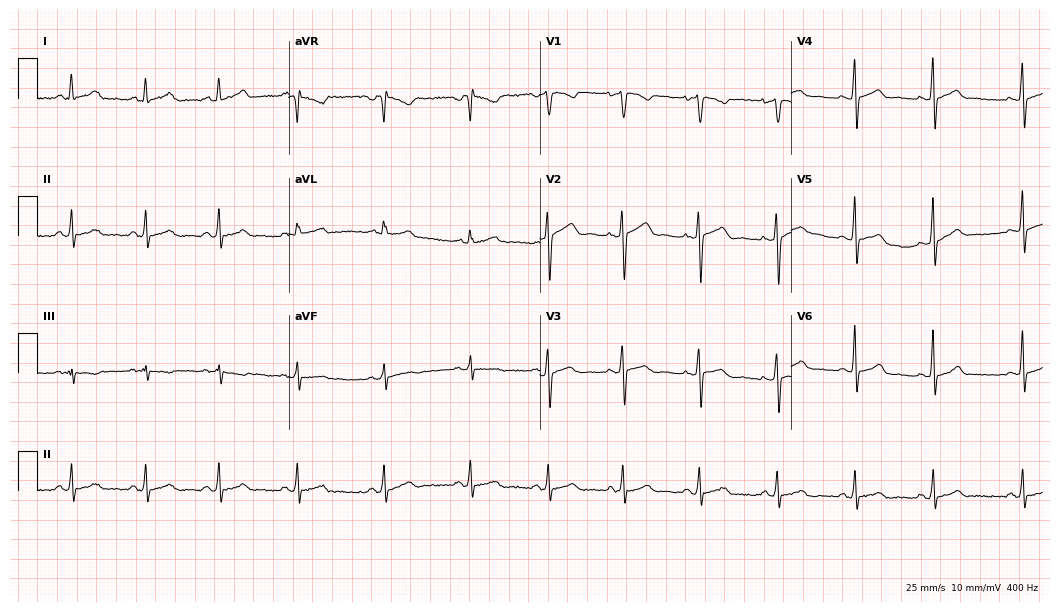
Standard 12-lead ECG recorded from a woman, 21 years old. Read as a normal ECG.